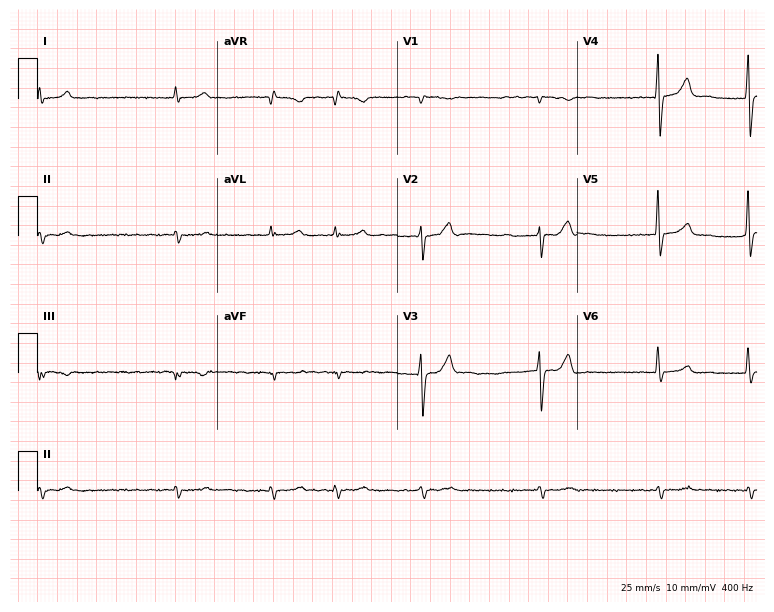
12-lead ECG (7.3-second recording at 400 Hz) from a male patient, 74 years old. Findings include atrial fibrillation (AF).